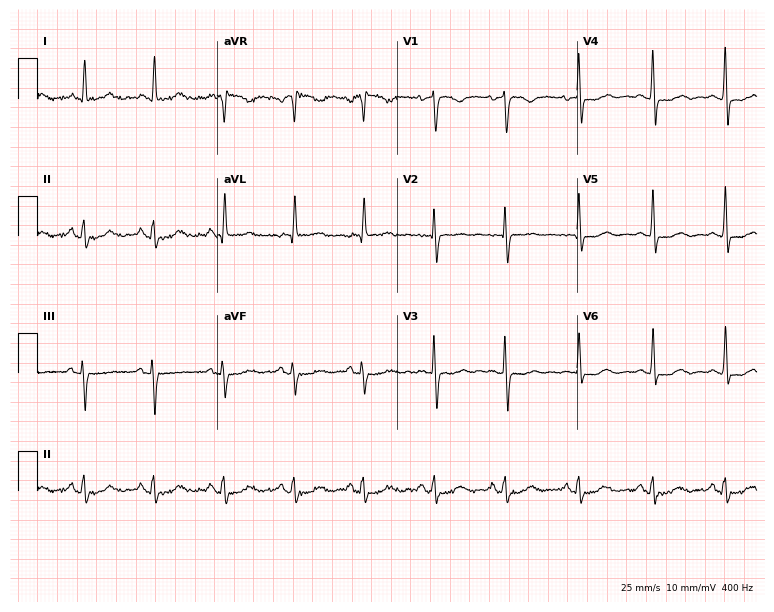
ECG (7.3-second recording at 400 Hz) — a 67-year-old female patient. Screened for six findings — first-degree AV block, right bundle branch block (RBBB), left bundle branch block (LBBB), sinus bradycardia, atrial fibrillation (AF), sinus tachycardia — none is recorded. Other findings, if any, are not listed.